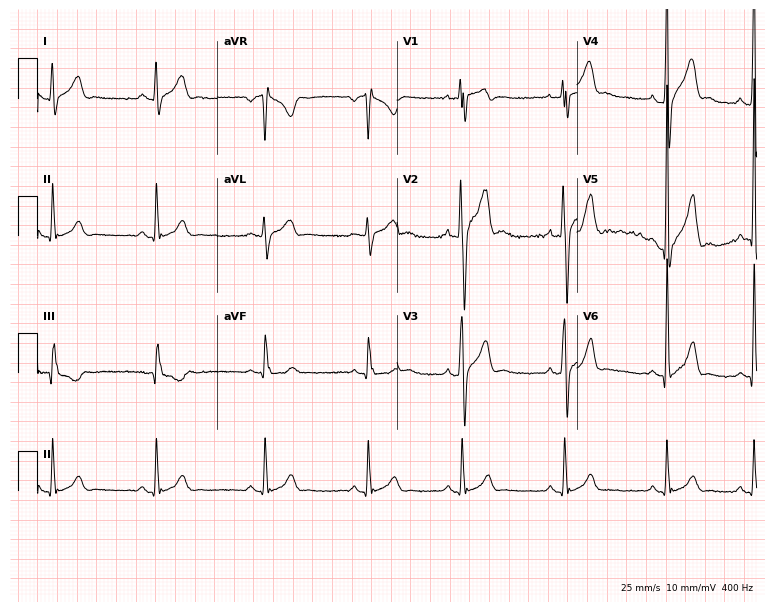
Resting 12-lead electrocardiogram. Patient: a man, 18 years old. Read as a normal ECG.